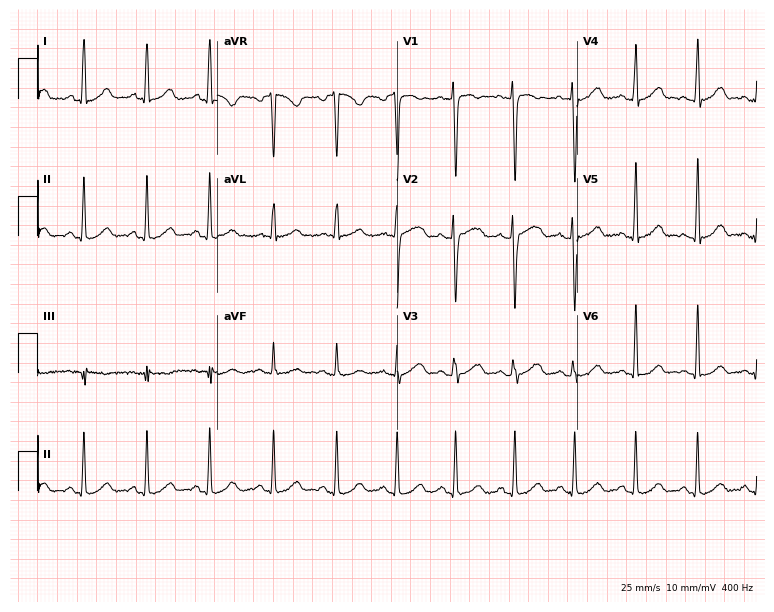
Resting 12-lead electrocardiogram. Patient: a 29-year-old female. Read as a normal ECG.